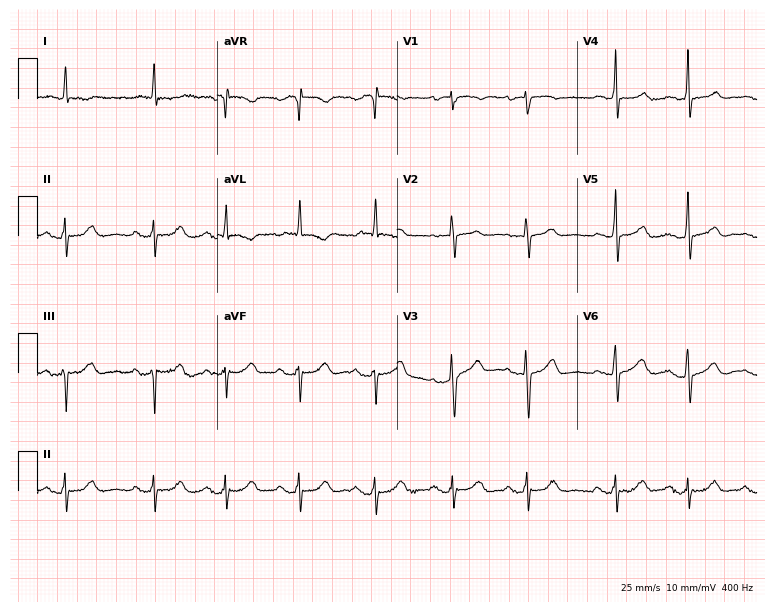
Standard 12-lead ECG recorded from a female, 83 years old (7.3-second recording at 400 Hz). None of these six findings is recorded: first-degree AV block, right bundle branch block, left bundle branch block, sinus bradycardia, atrial fibrillation, sinus tachycardia.